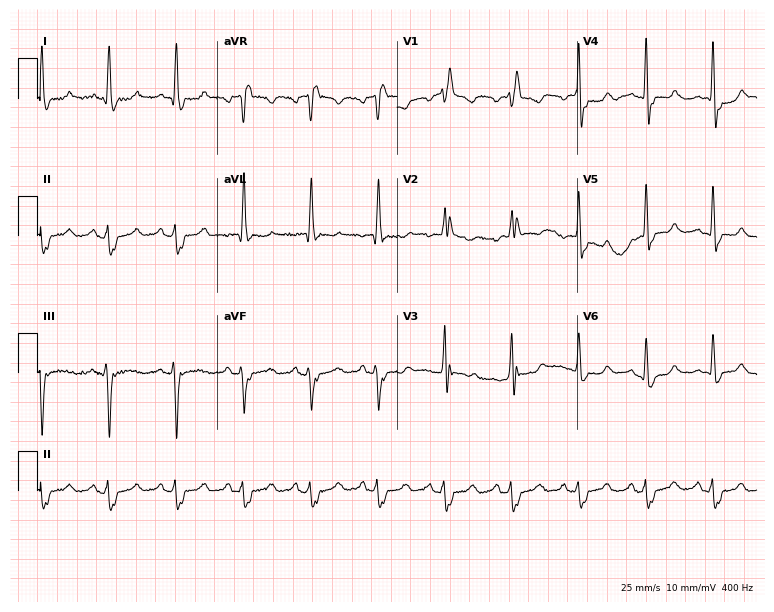
ECG — a 60-year-old female patient. Findings include right bundle branch block.